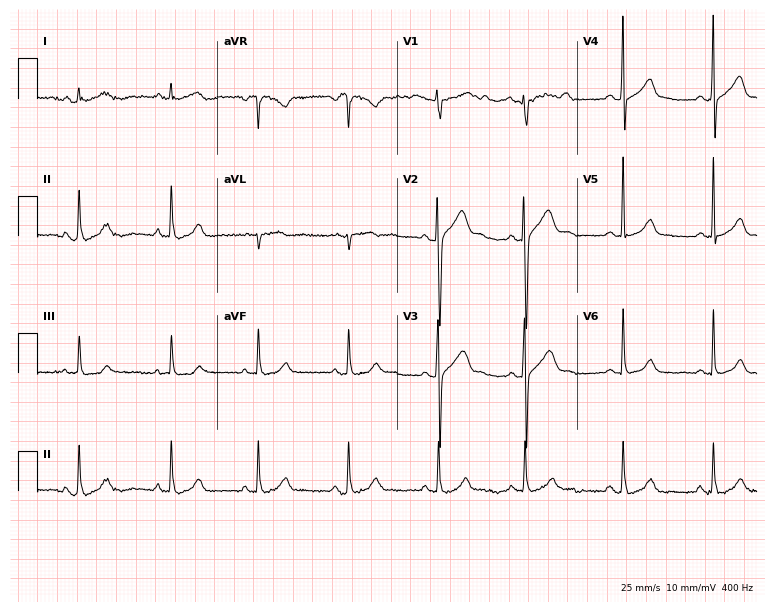
Electrocardiogram (7.3-second recording at 400 Hz), a male, 24 years old. Overall reading on record: normal ECG.